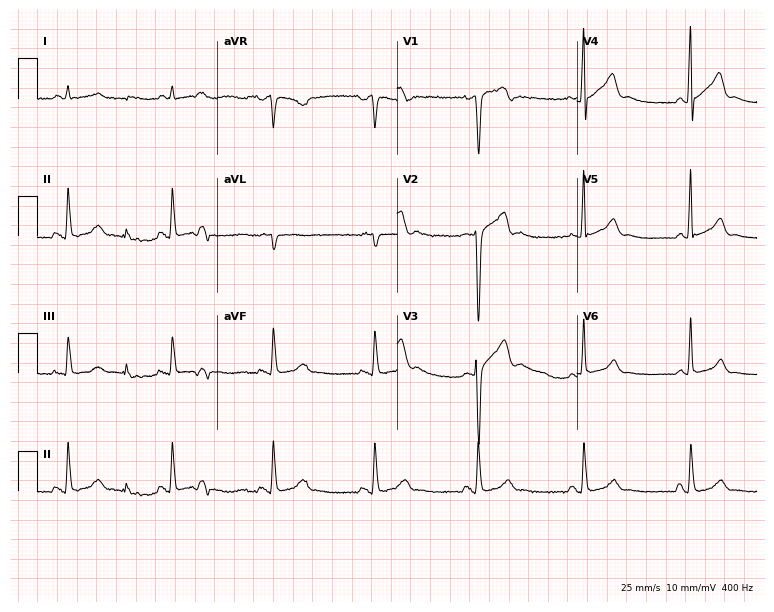
12-lead ECG from a female patient, 55 years old. No first-degree AV block, right bundle branch block, left bundle branch block, sinus bradycardia, atrial fibrillation or sinus tachycardia recorded for this tracing. Findings outside these six are not listed.